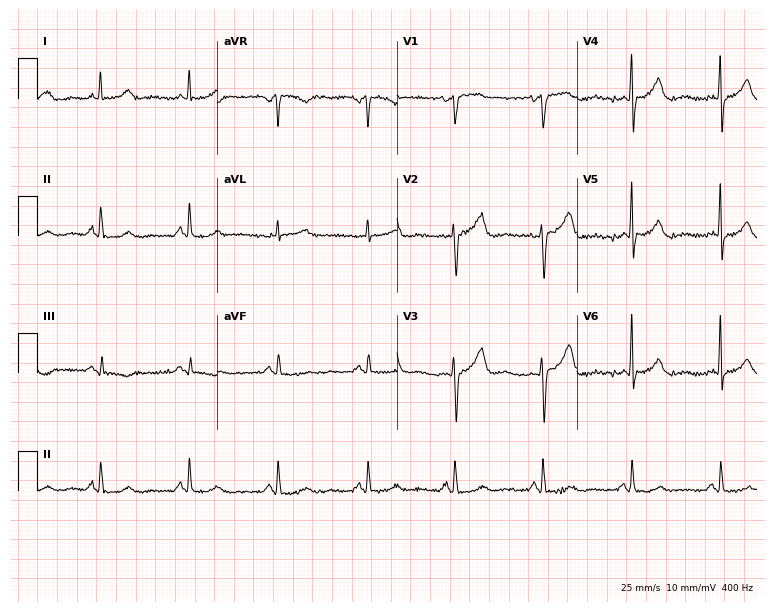
Electrocardiogram (7.3-second recording at 400 Hz), a 62-year-old female patient. Of the six screened findings (first-degree AV block, right bundle branch block (RBBB), left bundle branch block (LBBB), sinus bradycardia, atrial fibrillation (AF), sinus tachycardia), none is recorded.